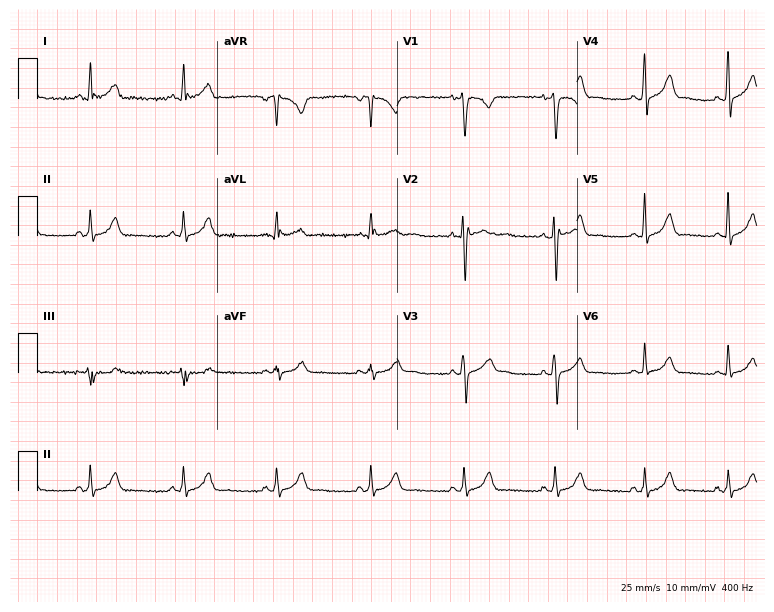
12-lead ECG (7.3-second recording at 400 Hz) from a 29-year-old male. Screened for six findings — first-degree AV block, right bundle branch block (RBBB), left bundle branch block (LBBB), sinus bradycardia, atrial fibrillation (AF), sinus tachycardia — none is recorded. Other findings, if any, are not listed.